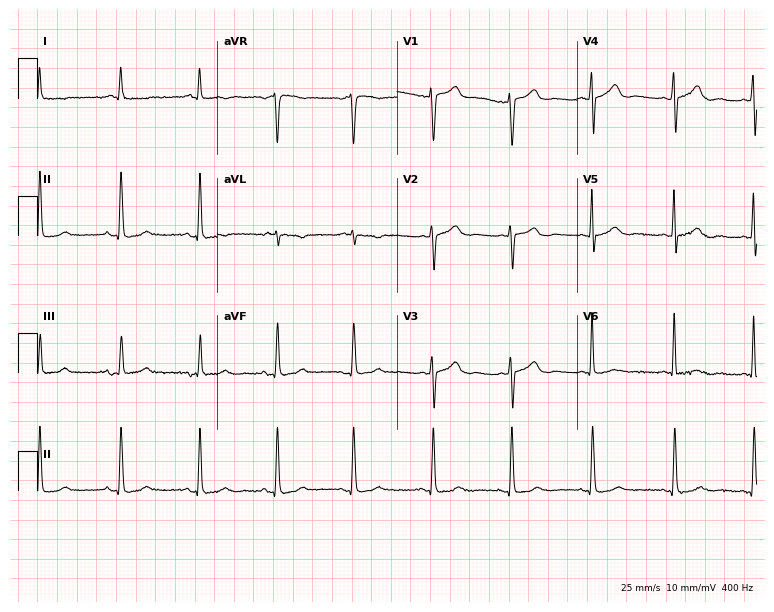
Resting 12-lead electrocardiogram (7.3-second recording at 400 Hz). Patient: a 77-year-old man. Read as a normal ECG.